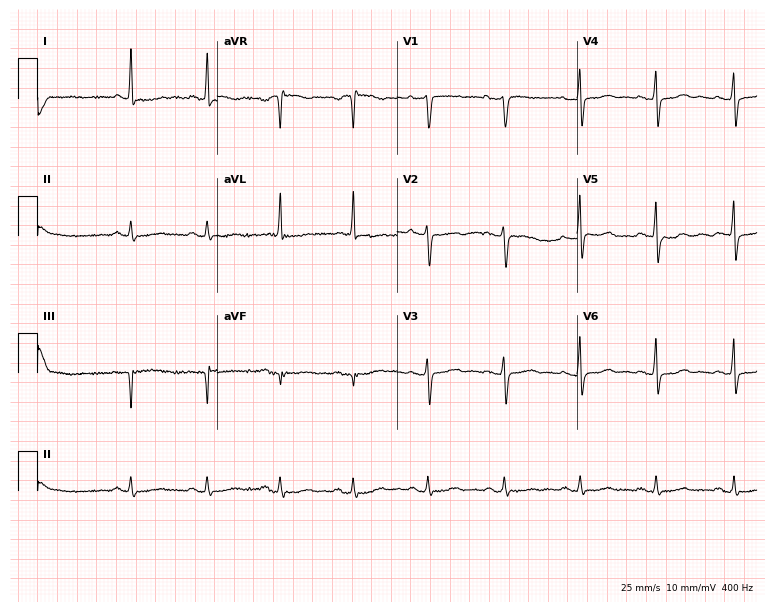
ECG (7.3-second recording at 400 Hz) — a female, 53 years old. Screened for six findings — first-degree AV block, right bundle branch block, left bundle branch block, sinus bradycardia, atrial fibrillation, sinus tachycardia — none is recorded.